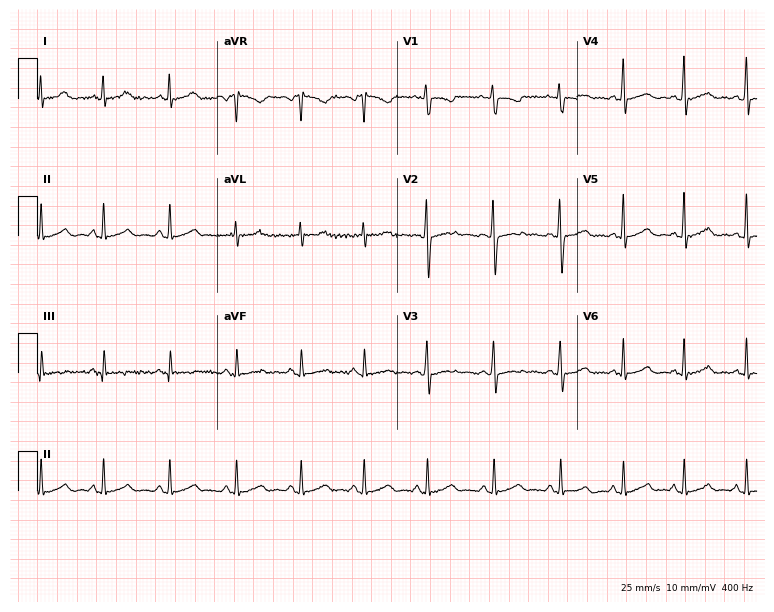
12-lead ECG from a 20-year-old female. No first-degree AV block, right bundle branch block (RBBB), left bundle branch block (LBBB), sinus bradycardia, atrial fibrillation (AF) or sinus tachycardia recorded for this tracing. Other findings, if any, are not listed.